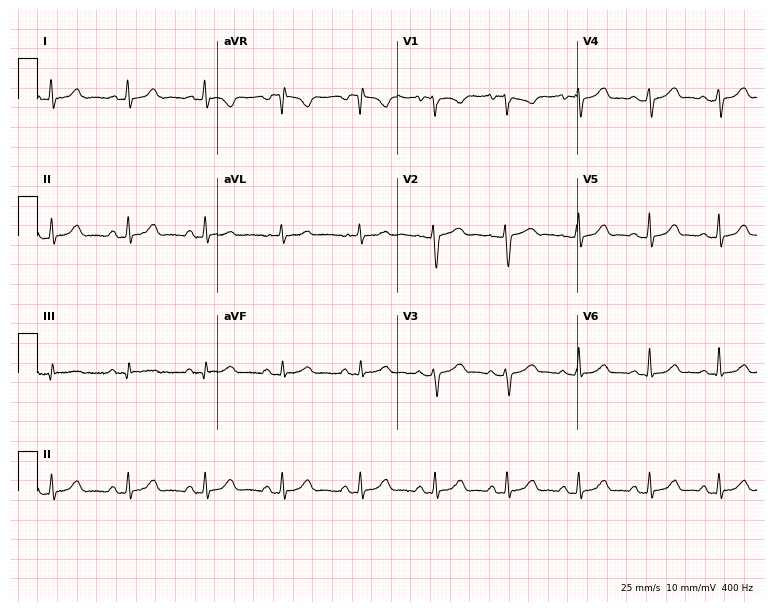
ECG — a woman, 19 years old. Labelled as a normal ECG.